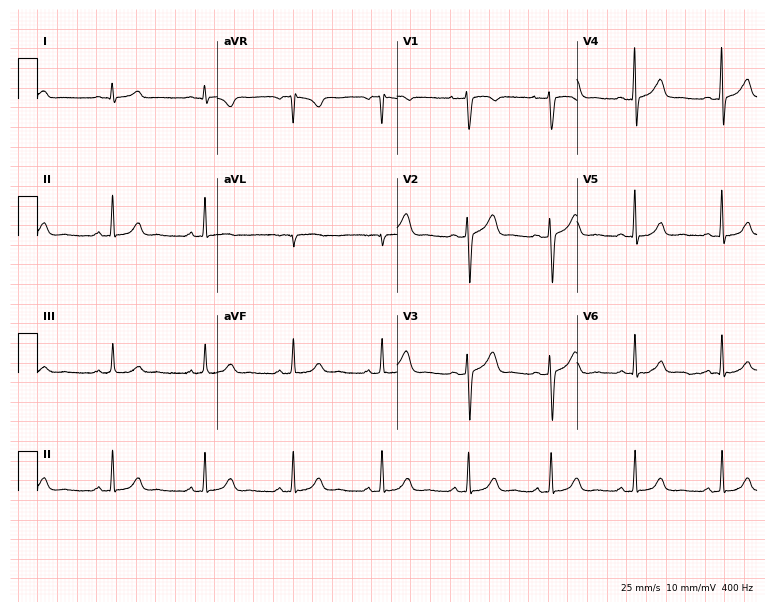
Resting 12-lead electrocardiogram. Patient: a woman, 26 years old. Read as a normal ECG.